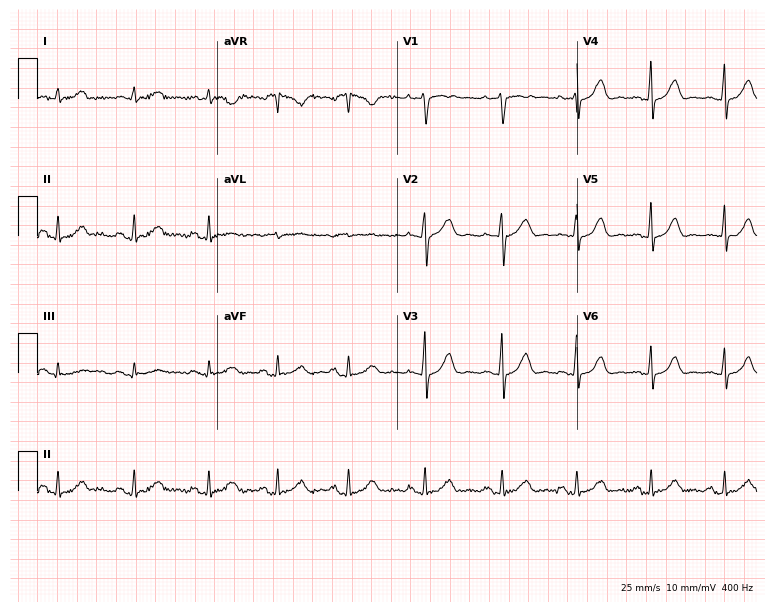
12-lead ECG (7.3-second recording at 400 Hz) from a female, 46 years old. Labelled as a normal ECG.